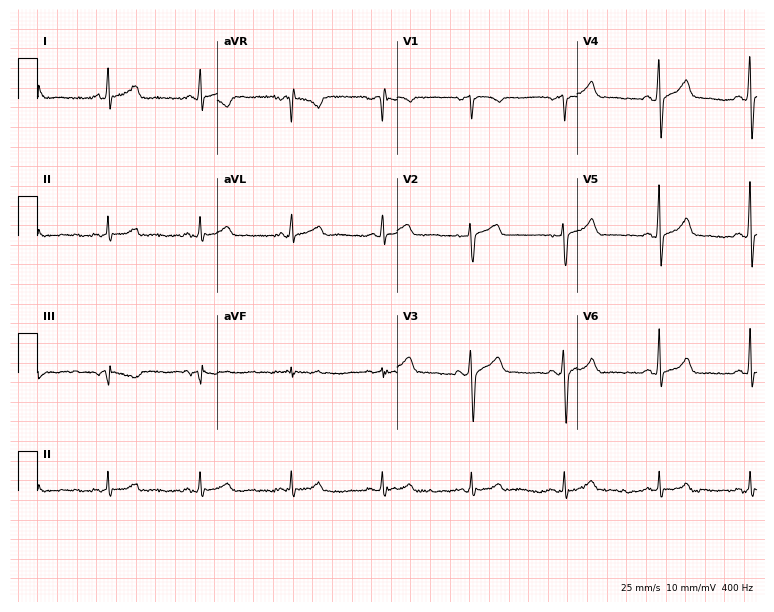
ECG — a man, 38 years old. Labelled as a normal ECG.